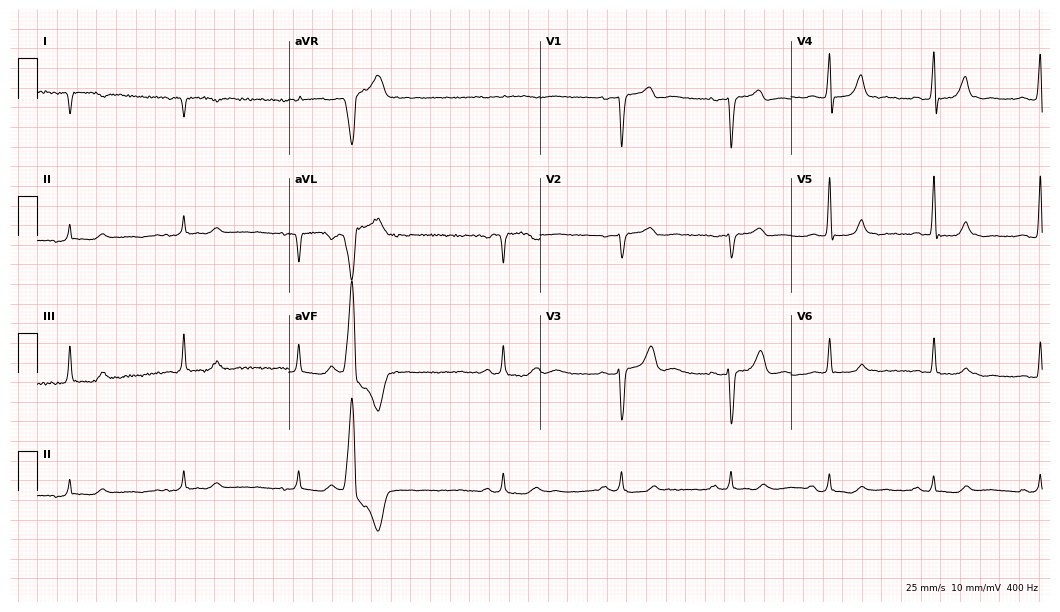
ECG (10.2-second recording at 400 Hz) — a 78-year-old male patient. Screened for six findings — first-degree AV block, right bundle branch block, left bundle branch block, sinus bradycardia, atrial fibrillation, sinus tachycardia — none is recorded.